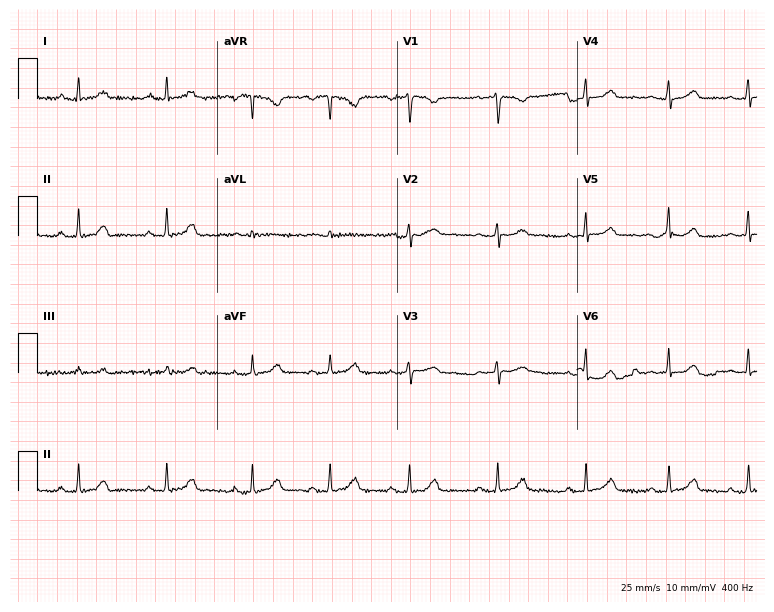
Electrocardiogram (7.3-second recording at 400 Hz), a 31-year-old woman. Overall reading on record: normal ECG.